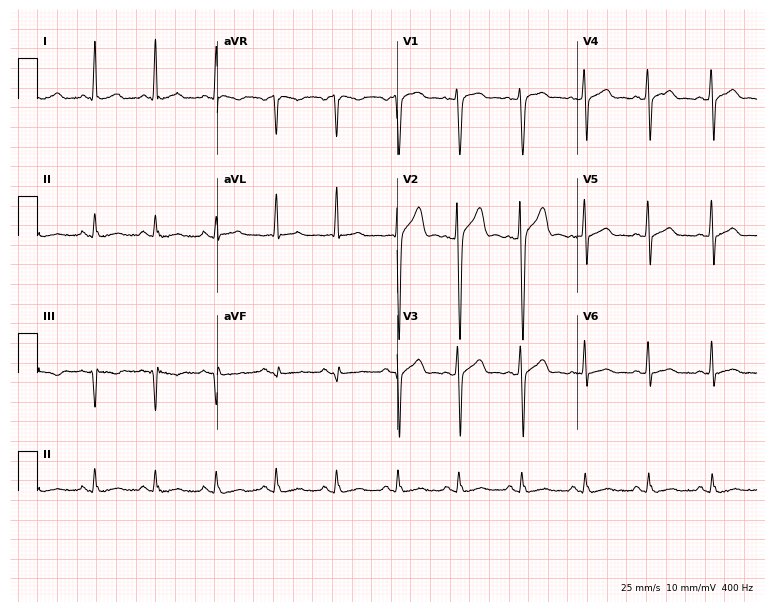
12-lead ECG from a 43-year-old male (7.3-second recording at 400 Hz). Recorded interpretation: within normal limits.